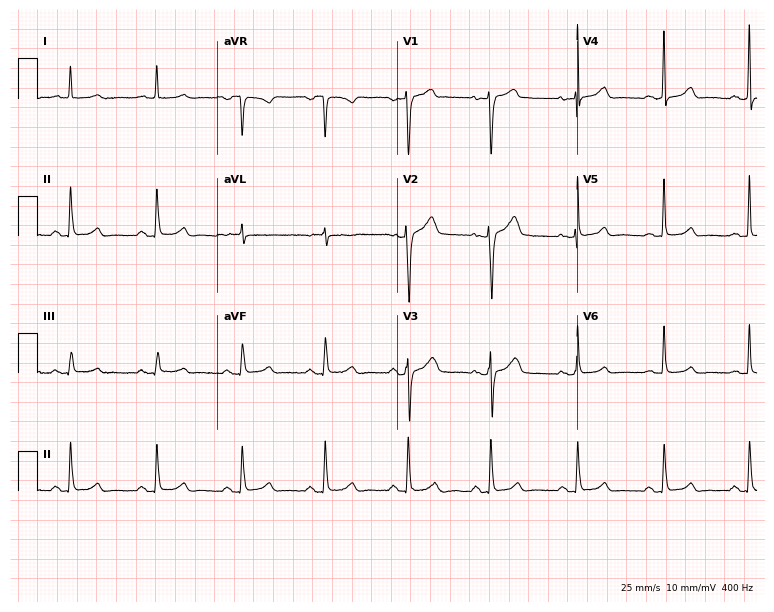
12-lead ECG from an 85-year-old woman. Recorded interpretation: within normal limits.